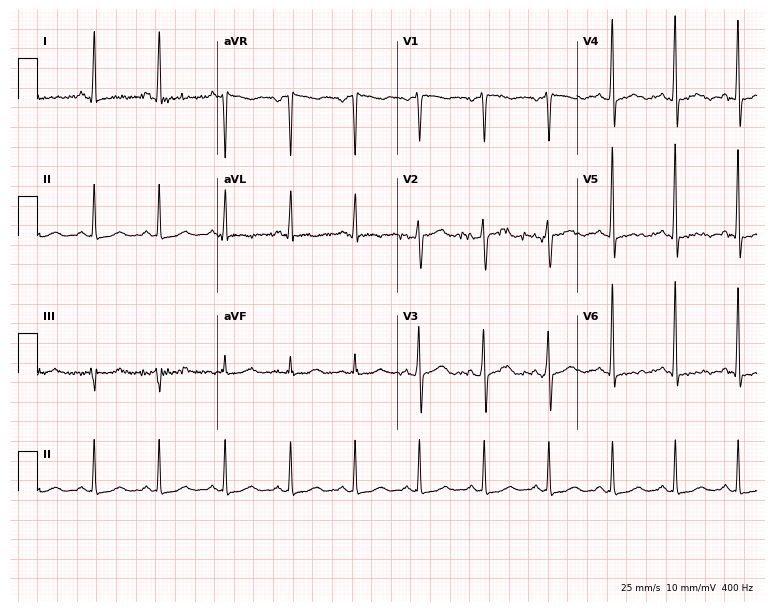
Electrocardiogram, a 51-year-old female. Of the six screened findings (first-degree AV block, right bundle branch block (RBBB), left bundle branch block (LBBB), sinus bradycardia, atrial fibrillation (AF), sinus tachycardia), none is recorded.